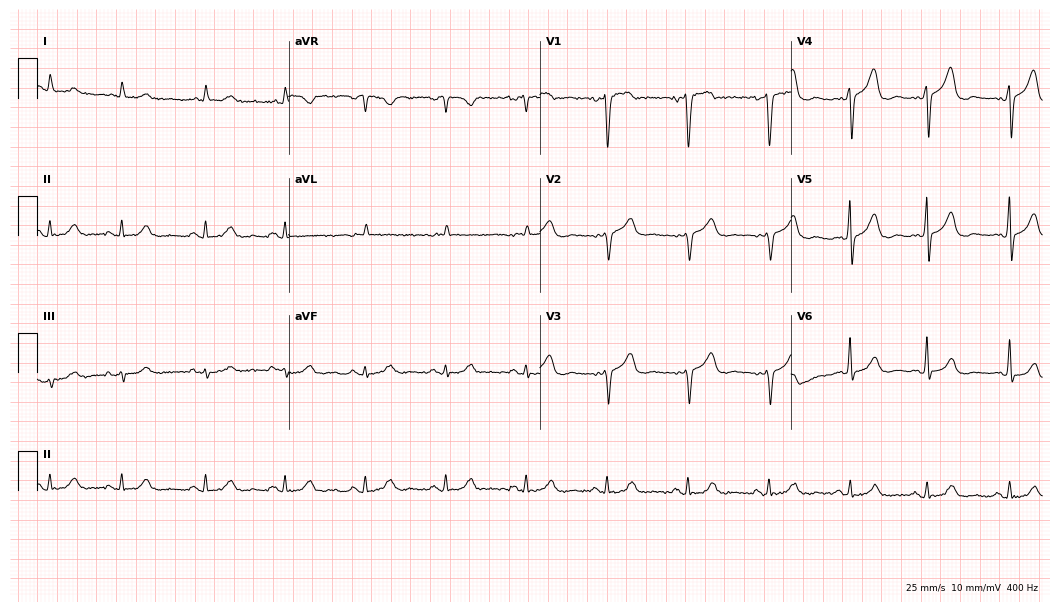
12-lead ECG (10.2-second recording at 400 Hz) from an 87-year-old male. Screened for six findings — first-degree AV block, right bundle branch block, left bundle branch block, sinus bradycardia, atrial fibrillation, sinus tachycardia — none is recorded. Only these six findings were labelled.